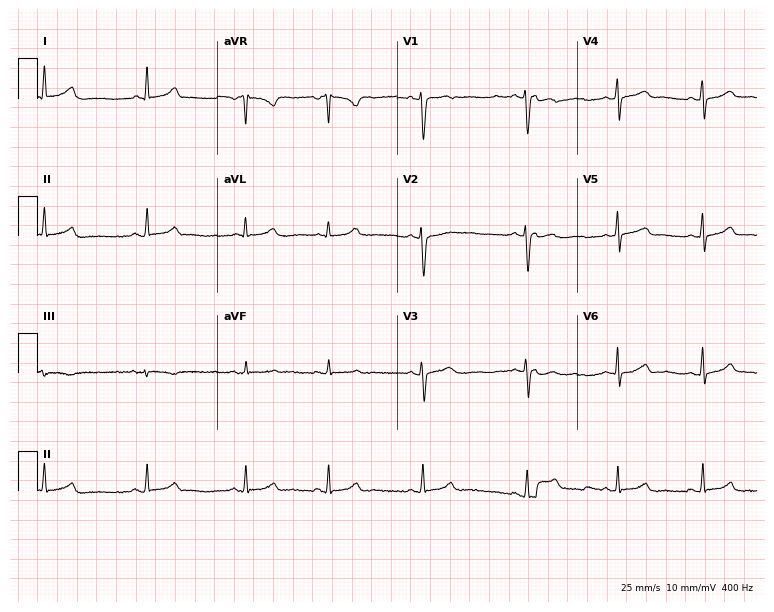
Standard 12-lead ECG recorded from a woman, 25 years old (7.3-second recording at 400 Hz). Read as a normal ECG.